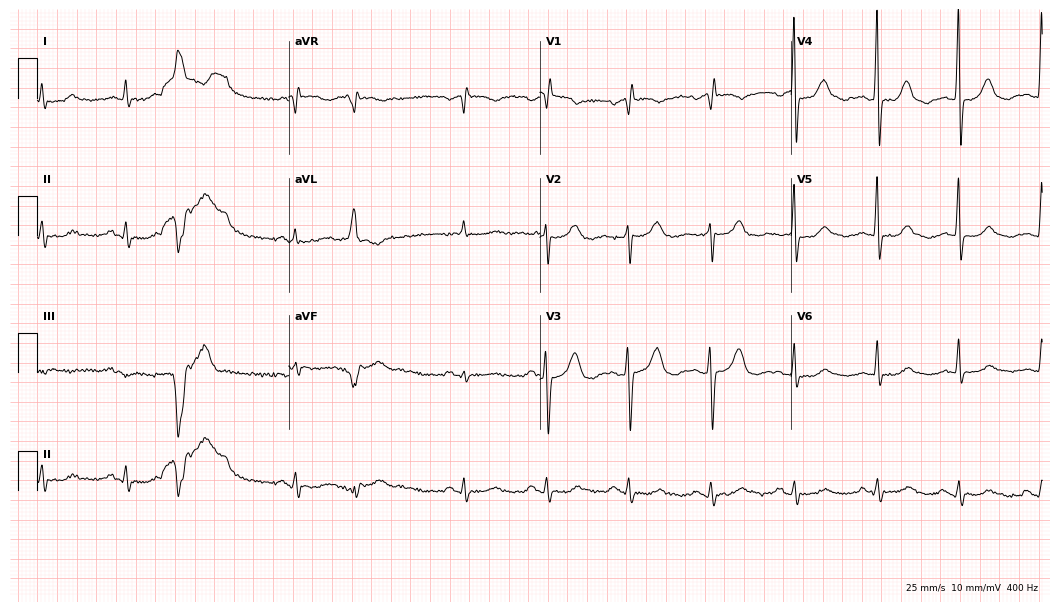
ECG (10.2-second recording at 400 Hz) — an 84-year-old female. Labelled as a normal ECG.